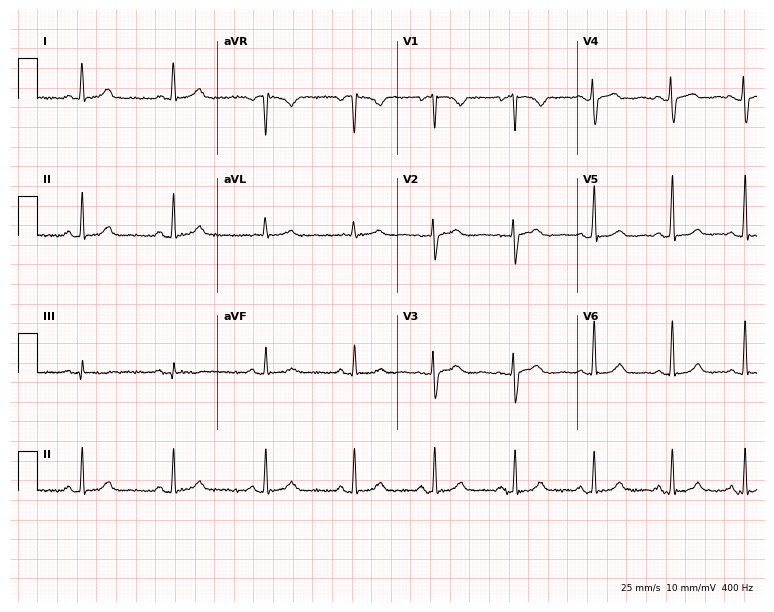
Standard 12-lead ECG recorded from a 46-year-old woman. Read as a normal ECG.